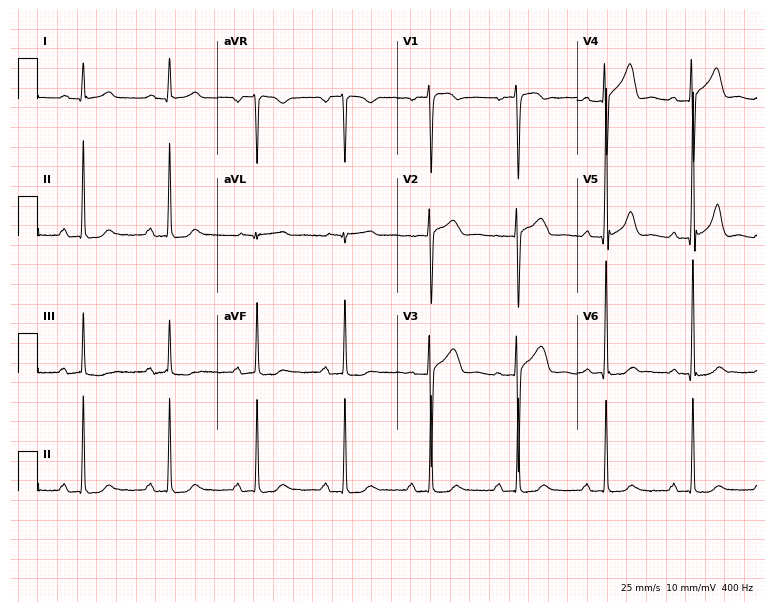
ECG (7.3-second recording at 400 Hz) — a 69-year-old female. Findings include first-degree AV block.